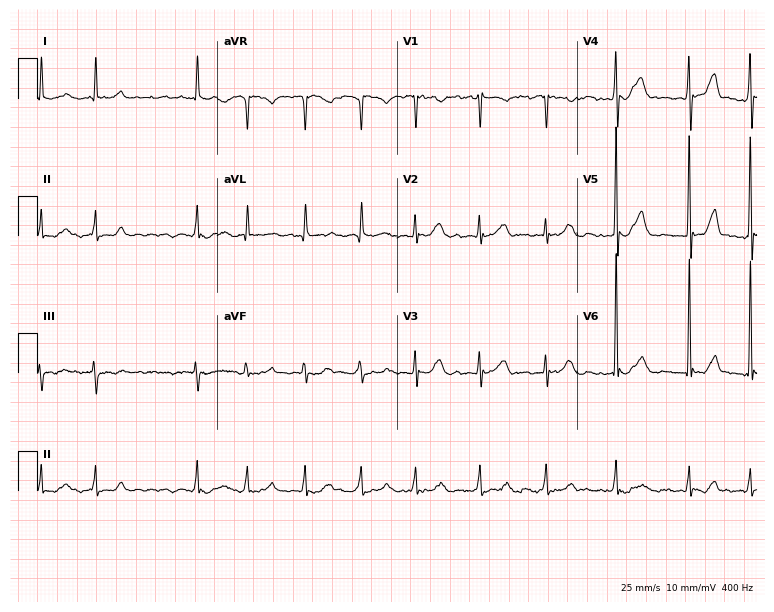
ECG (7.3-second recording at 400 Hz) — a 69-year-old male patient. Findings include atrial fibrillation.